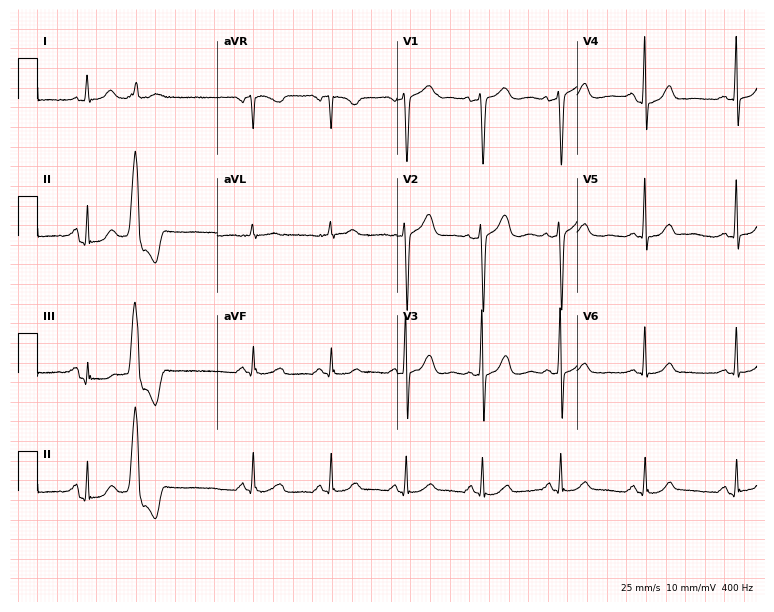
Electrocardiogram (7.3-second recording at 400 Hz), a female, 52 years old. Of the six screened findings (first-degree AV block, right bundle branch block, left bundle branch block, sinus bradycardia, atrial fibrillation, sinus tachycardia), none is recorded. Other findings, if any, are not listed.